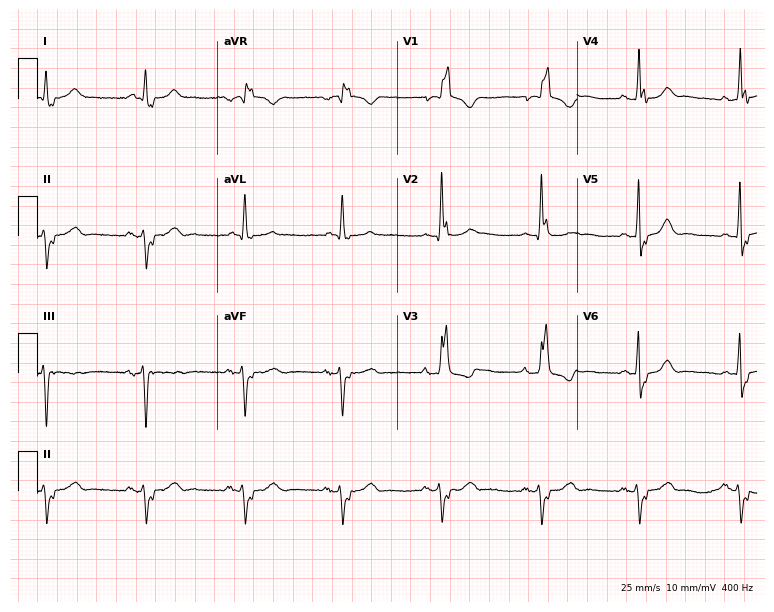
12-lead ECG from a woman, 60 years old. Shows right bundle branch block (RBBB).